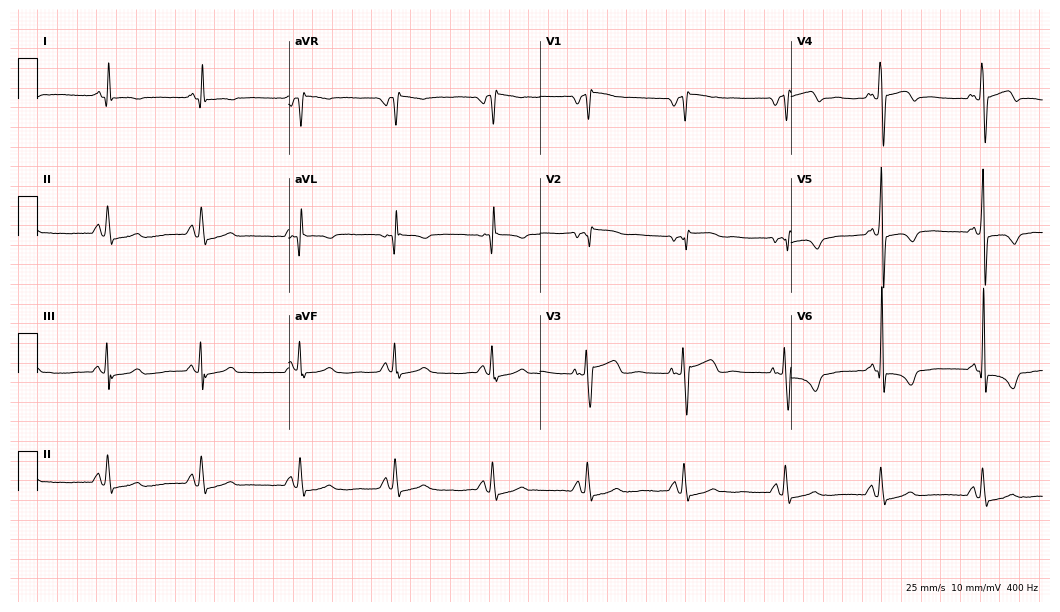
Electrocardiogram (10.2-second recording at 400 Hz), a female, 41 years old. Of the six screened findings (first-degree AV block, right bundle branch block, left bundle branch block, sinus bradycardia, atrial fibrillation, sinus tachycardia), none is recorded. Only these six findings were labelled.